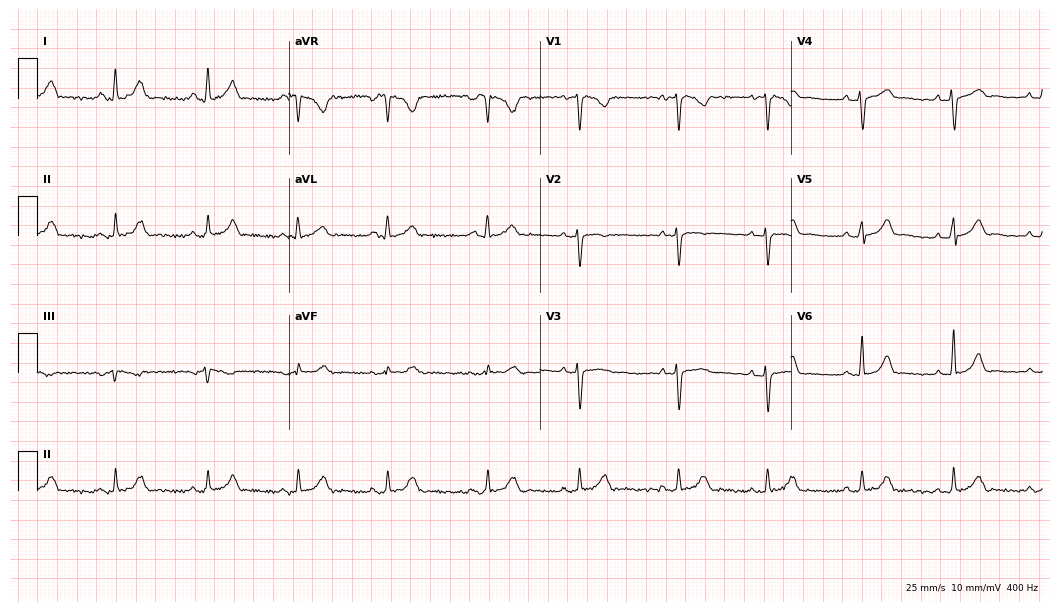
12-lead ECG from a 32-year-old female. No first-degree AV block, right bundle branch block, left bundle branch block, sinus bradycardia, atrial fibrillation or sinus tachycardia recorded for this tracing. Other findings, if any, are not listed.